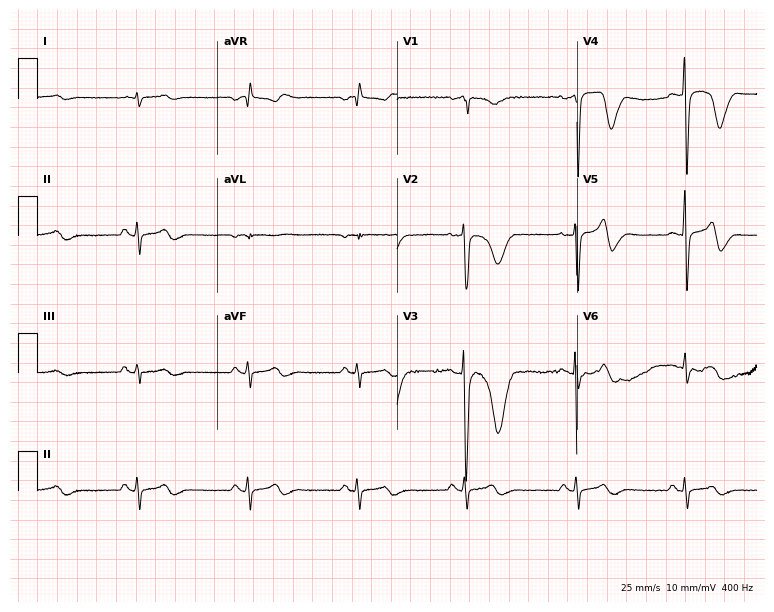
Resting 12-lead electrocardiogram (7.3-second recording at 400 Hz). Patient: a man, 59 years old. None of these six findings is recorded: first-degree AV block, right bundle branch block (RBBB), left bundle branch block (LBBB), sinus bradycardia, atrial fibrillation (AF), sinus tachycardia.